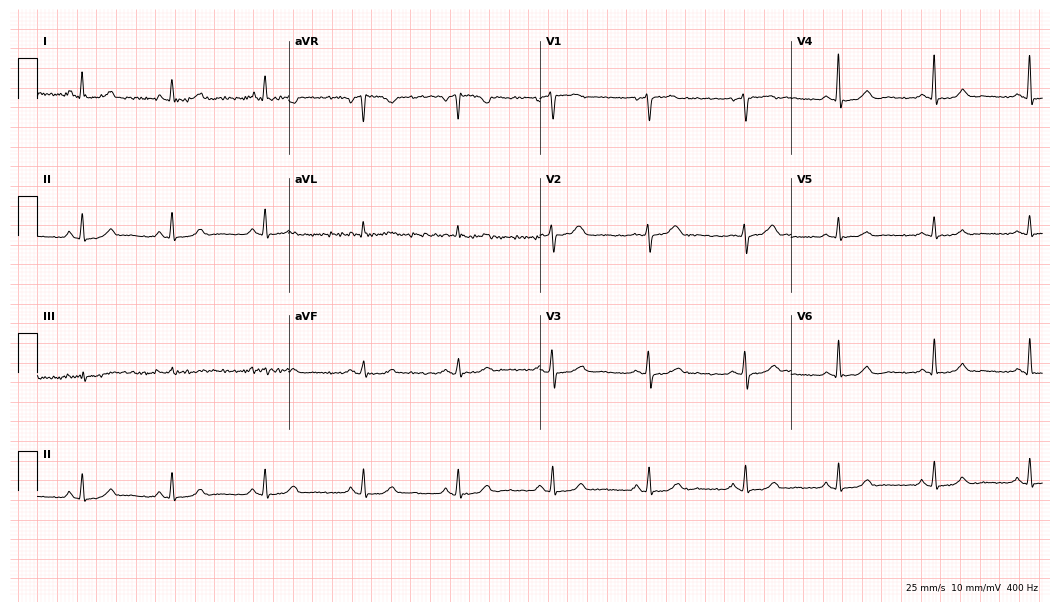
Resting 12-lead electrocardiogram (10.2-second recording at 400 Hz). Patient: a 42-year-old woman. Read as a normal ECG.